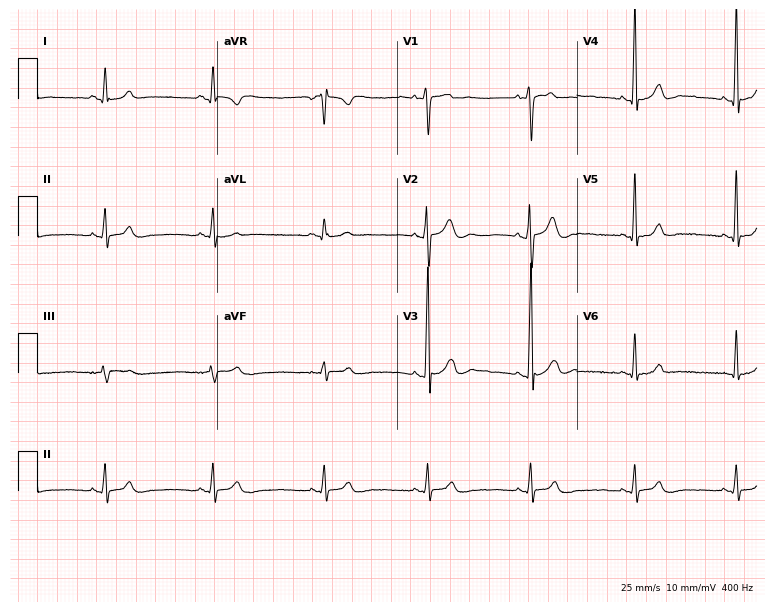
12-lead ECG from a male, 19 years old (7.3-second recording at 400 Hz). Recorded interpretation: within normal limits.